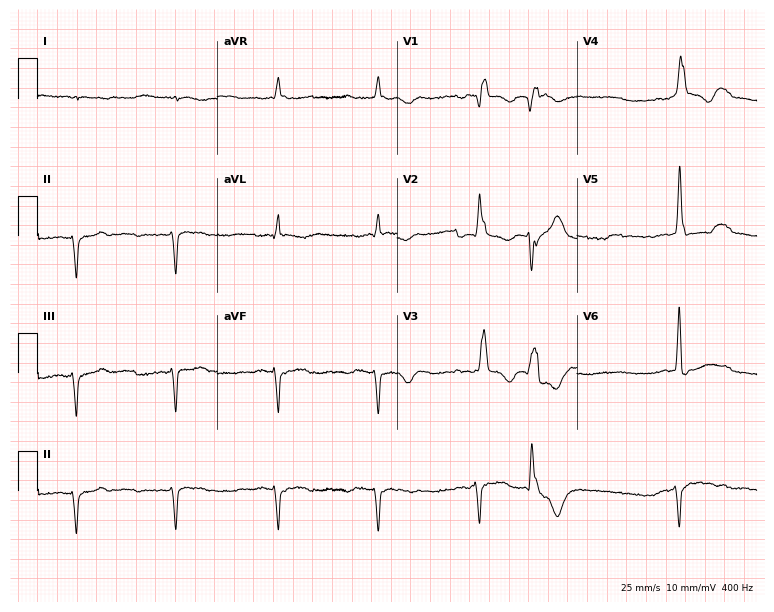
Standard 12-lead ECG recorded from a female patient, 76 years old. None of these six findings is recorded: first-degree AV block, right bundle branch block, left bundle branch block, sinus bradycardia, atrial fibrillation, sinus tachycardia. Other findings, if any, are not listed.